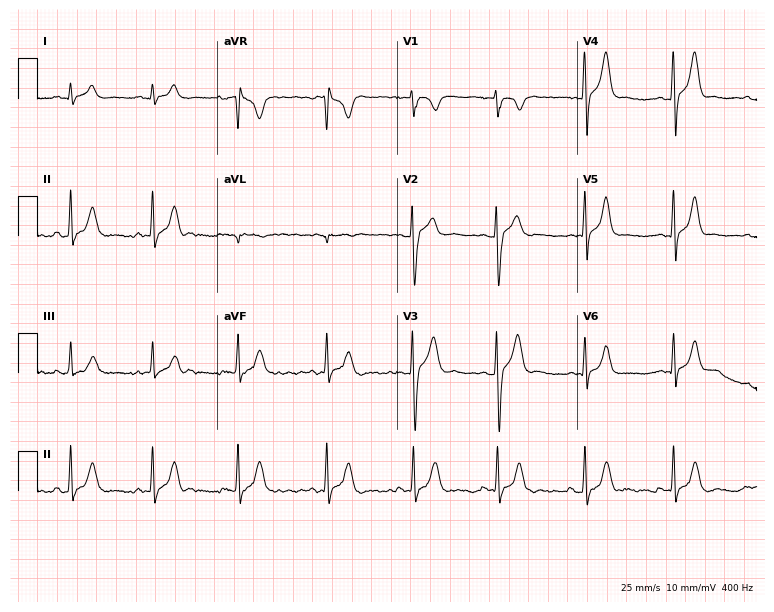
Resting 12-lead electrocardiogram. Patient: a 20-year-old man. Read as a normal ECG.